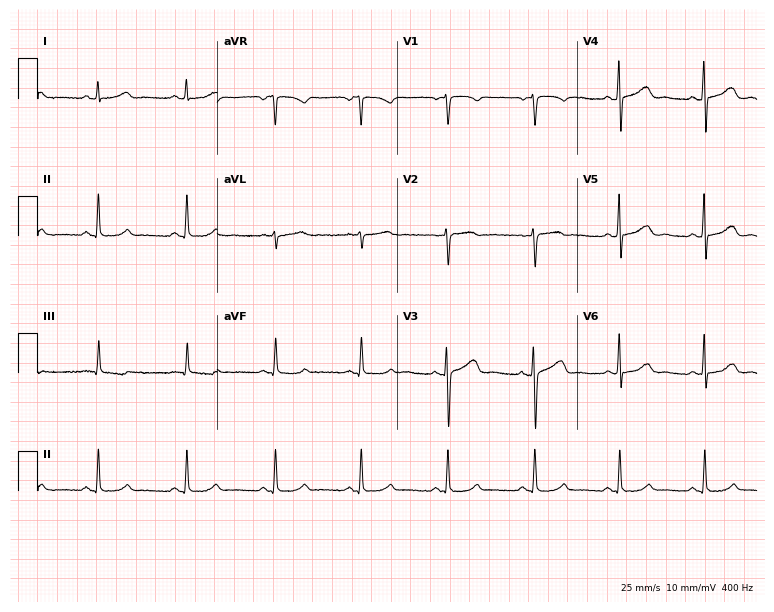
ECG (7.3-second recording at 400 Hz) — a 43-year-old female. Labelled as a normal ECG.